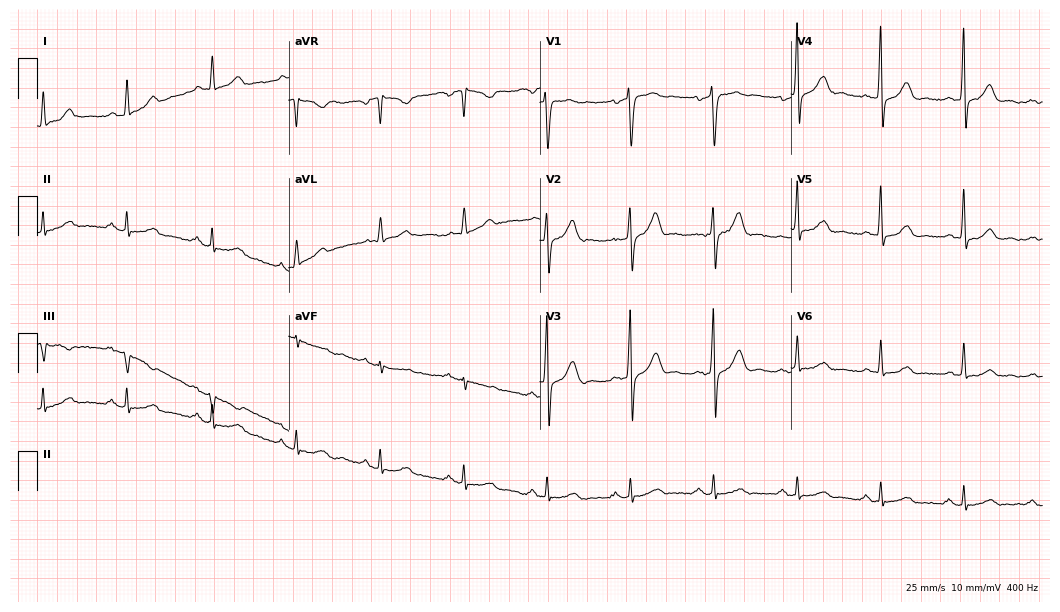
ECG (10.2-second recording at 400 Hz) — a male, 58 years old. Labelled as a normal ECG.